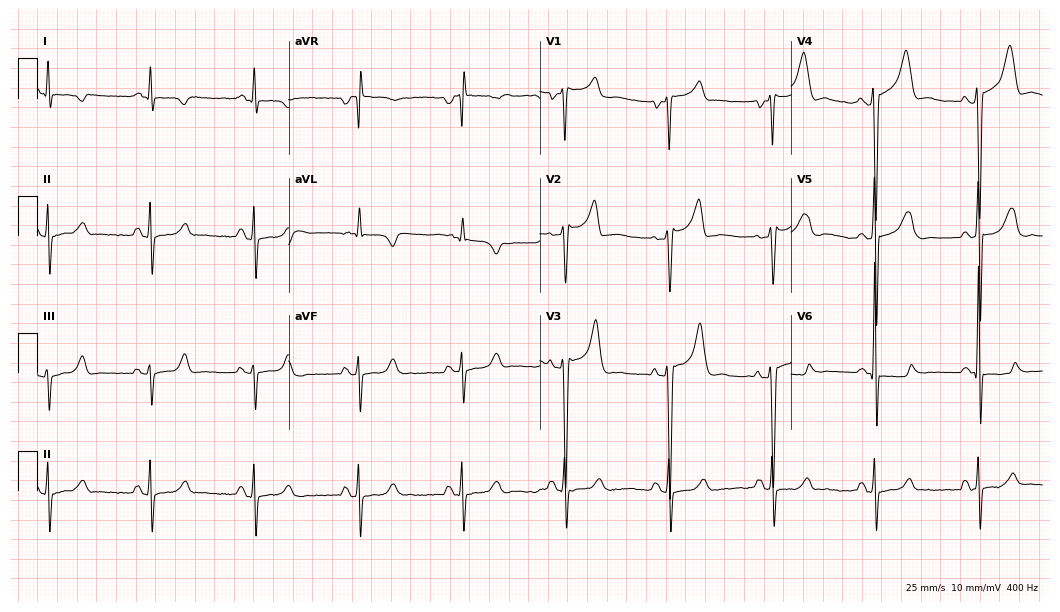
ECG (10.2-second recording at 400 Hz) — a 57-year-old male. Screened for six findings — first-degree AV block, right bundle branch block (RBBB), left bundle branch block (LBBB), sinus bradycardia, atrial fibrillation (AF), sinus tachycardia — none is recorded.